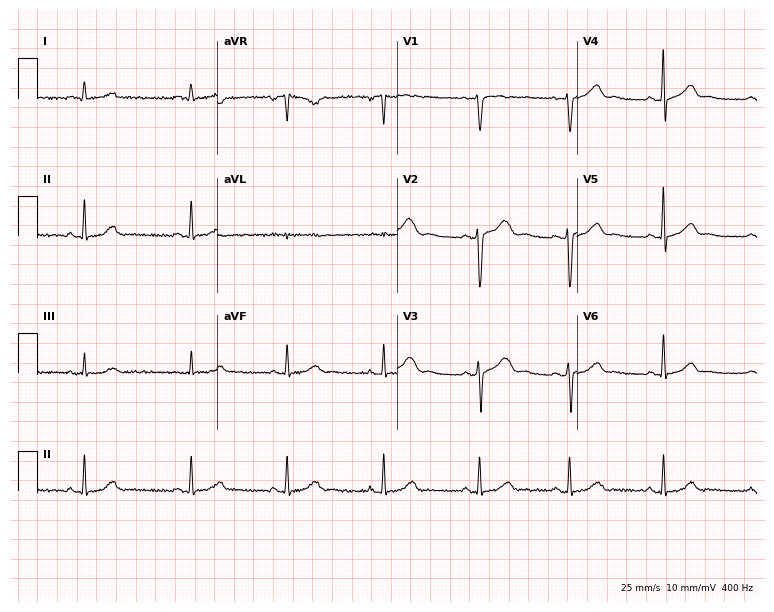
12-lead ECG (7.3-second recording at 400 Hz) from a female, 20 years old. Screened for six findings — first-degree AV block, right bundle branch block, left bundle branch block, sinus bradycardia, atrial fibrillation, sinus tachycardia — none is recorded. Only these six findings were labelled.